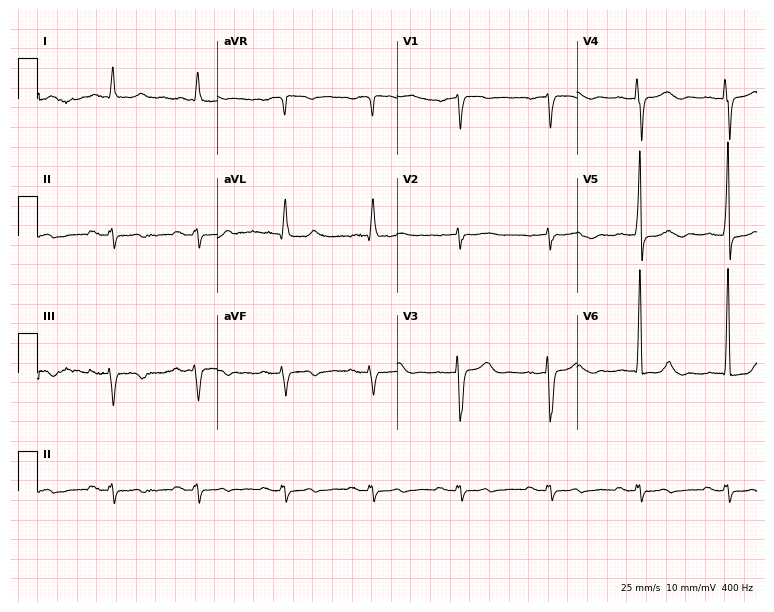
Electrocardiogram (7.3-second recording at 400 Hz), a 69-year-old male. Of the six screened findings (first-degree AV block, right bundle branch block, left bundle branch block, sinus bradycardia, atrial fibrillation, sinus tachycardia), none is recorded. Findings outside these six are not listed.